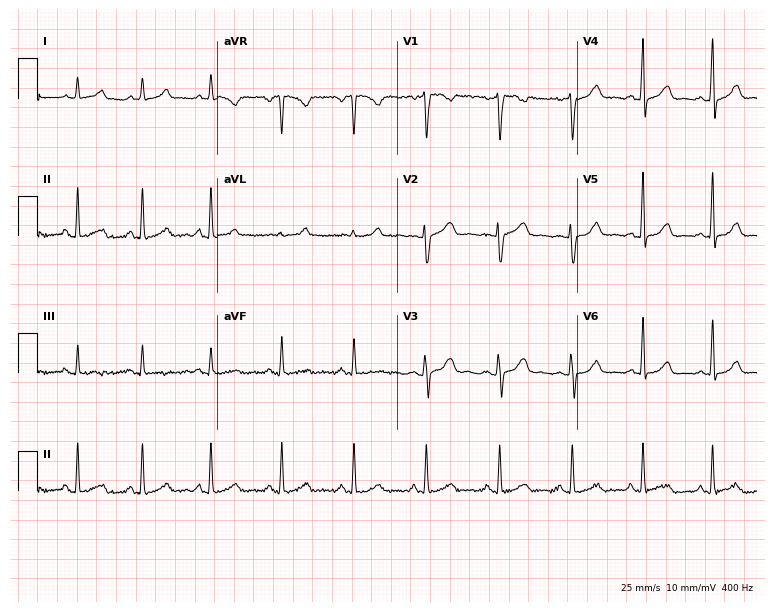
Electrocardiogram, a female, 28 years old. Overall reading on record: normal ECG.